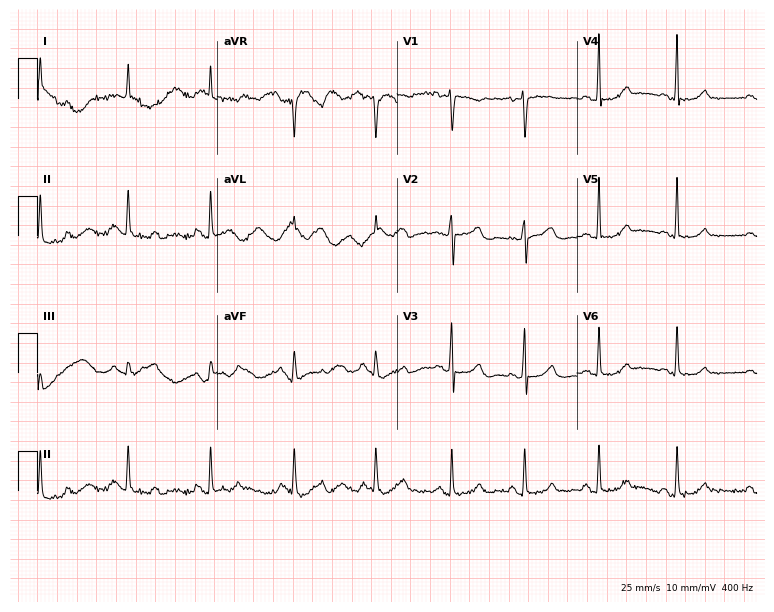
Standard 12-lead ECG recorded from a 48-year-old female patient (7.3-second recording at 400 Hz). None of these six findings is recorded: first-degree AV block, right bundle branch block (RBBB), left bundle branch block (LBBB), sinus bradycardia, atrial fibrillation (AF), sinus tachycardia.